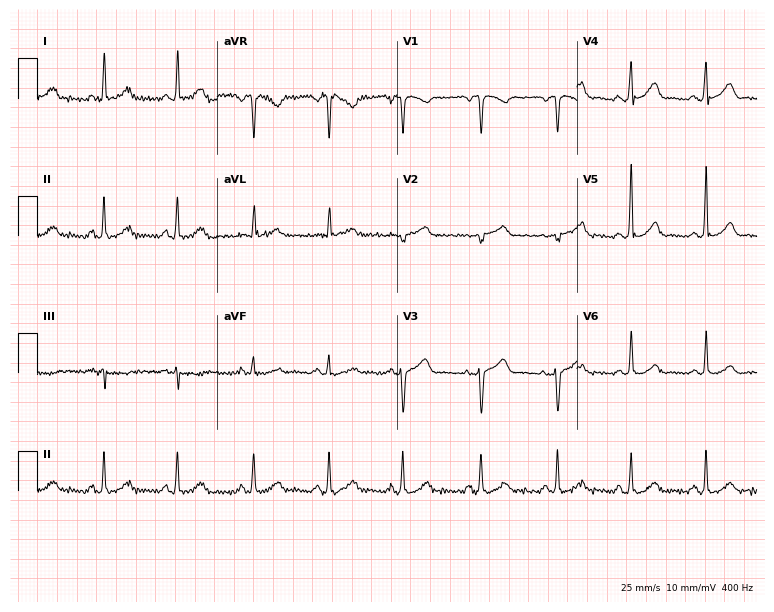
12-lead ECG from a woman, 57 years old. Screened for six findings — first-degree AV block, right bundle branch block, left bundle branch block, sinus bradycardia, atrial fibrillation, sinus tachycardia — none is recorded. Findings outside these six are not listed.